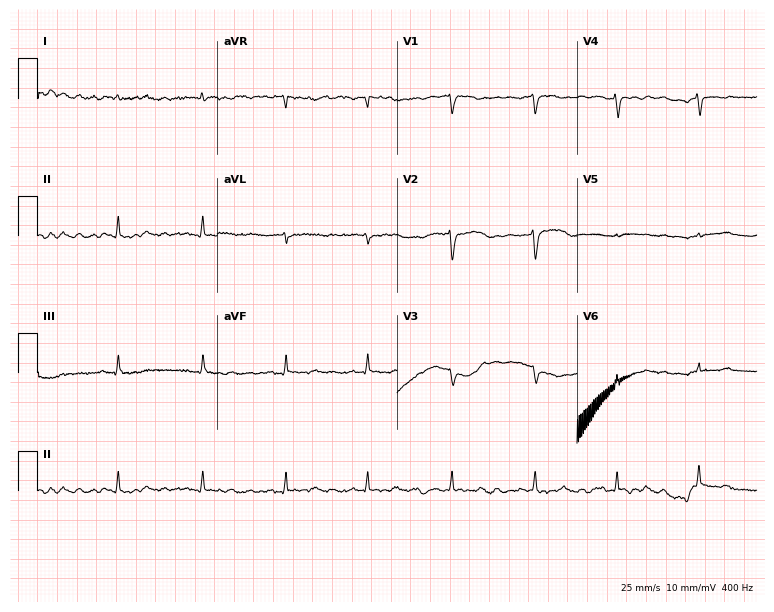
12-lead ECG (7.3-second recording at 400 Hz) from a 50-year-old female. Screened for six findings — first-degree AV block, right bundle branch block, left bundle branch block, sinus bradycardia, atrial fibrillation, sinus tachycardia — none is recorded.